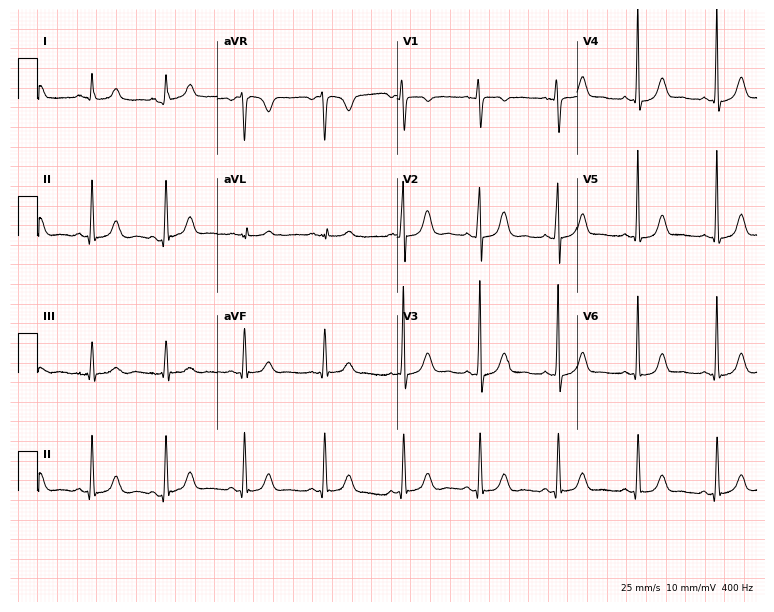
12-lead ECG from a 32-year-old woman. No first-degree AV block, right bundle branch block (RBBB), left bundle branch block (LBBB), sinus bradycardia, atrial fibrillation (AF) or sinus tachycardia recorded for this tracing.